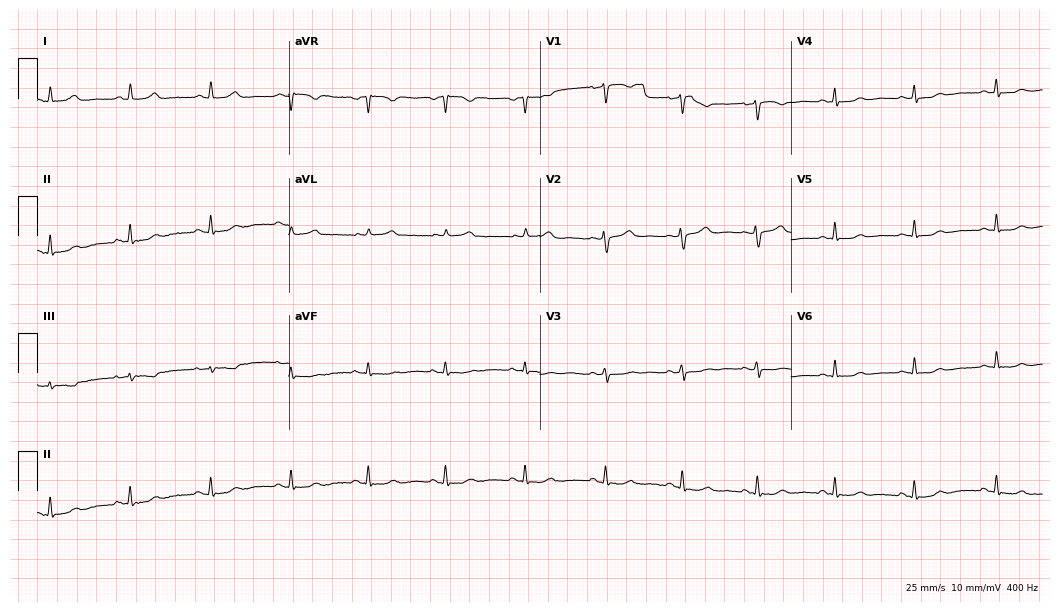
Electrocardiogram (10.2-second recording at 400 Hz), a 46-year-old female. Of the six screened findings (first-degree AV block, right bundle branch block, left bundle branch block, sinus bradycardia, atrial fibrillation, sinus tachycardia), none is recorded.